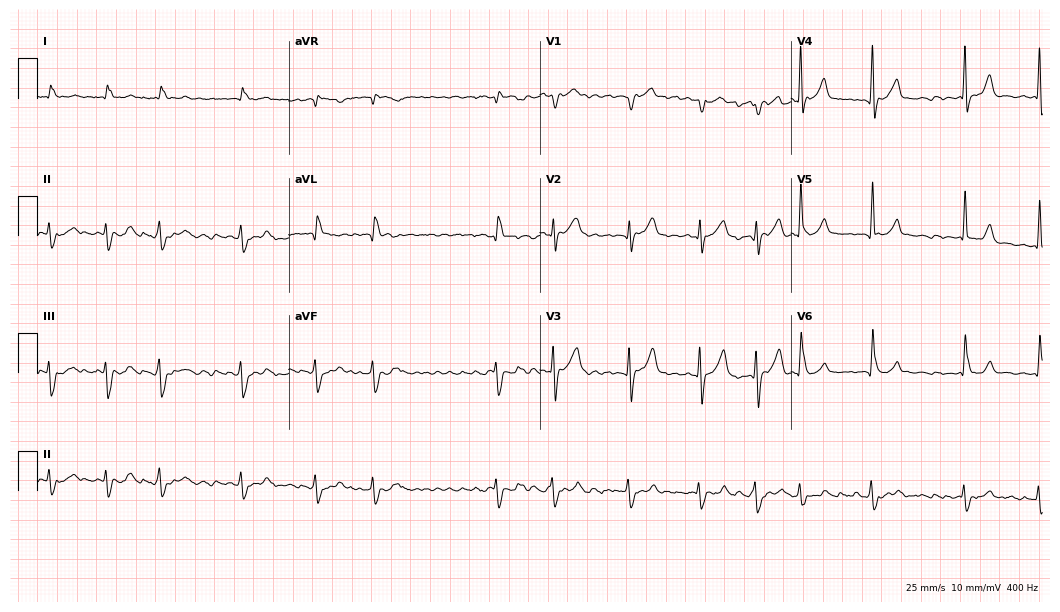
Resting 12-lead electrocardiogram (10.2-second recording at 400 Hz). Patient: a man, 70 years old. The tracing shows atrial fibrillation.